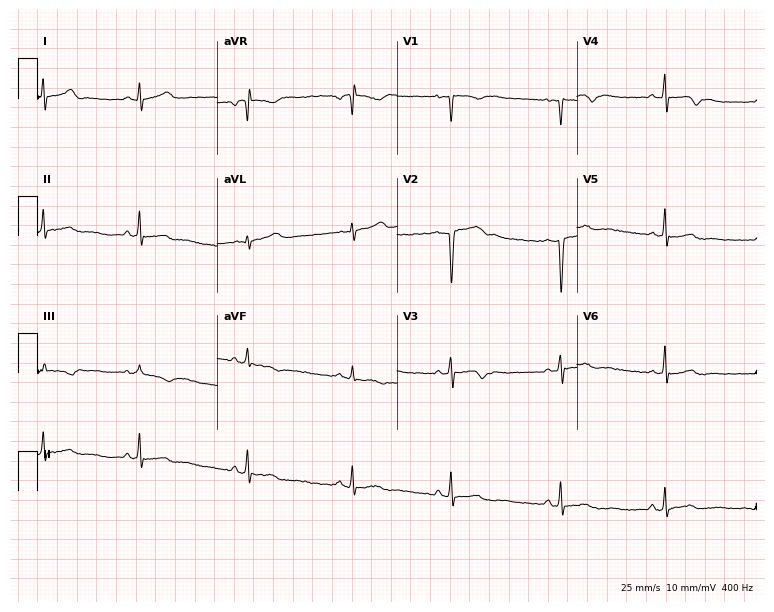
12-lead ECG (7.3-second recording at 400 Hz) from a female, 17 years old. Screened for six findings — first-degree AV block, right bundle branch block (RBBB), left bundle branch block (LBBB), sinus bradycardia, atrial fibrillation (AF), sinus tachycardia — none is recorded.